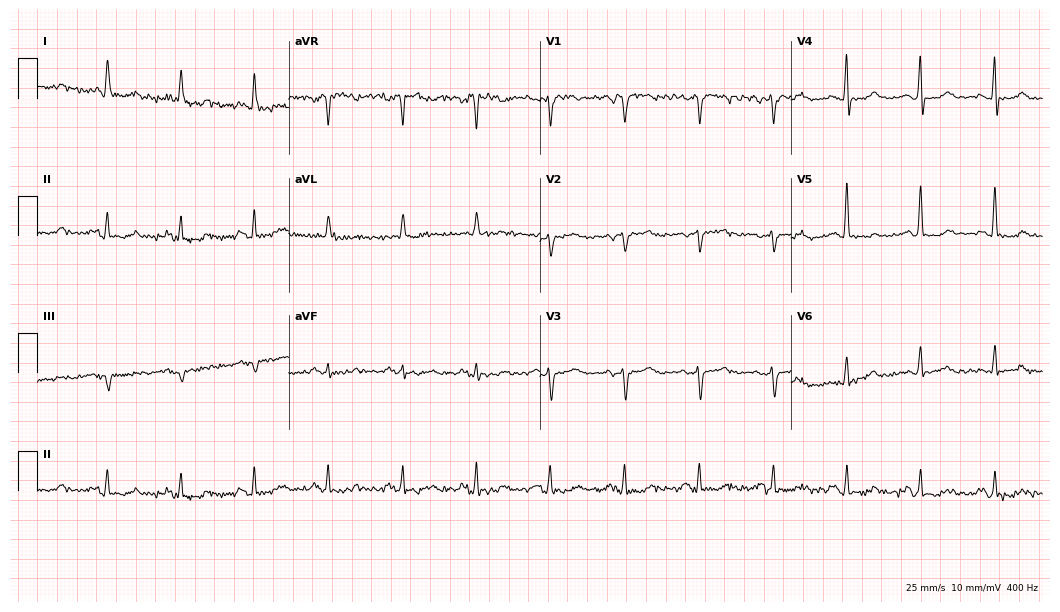
ECG — a woman, 74 years old. Labelled as a normal ECG.